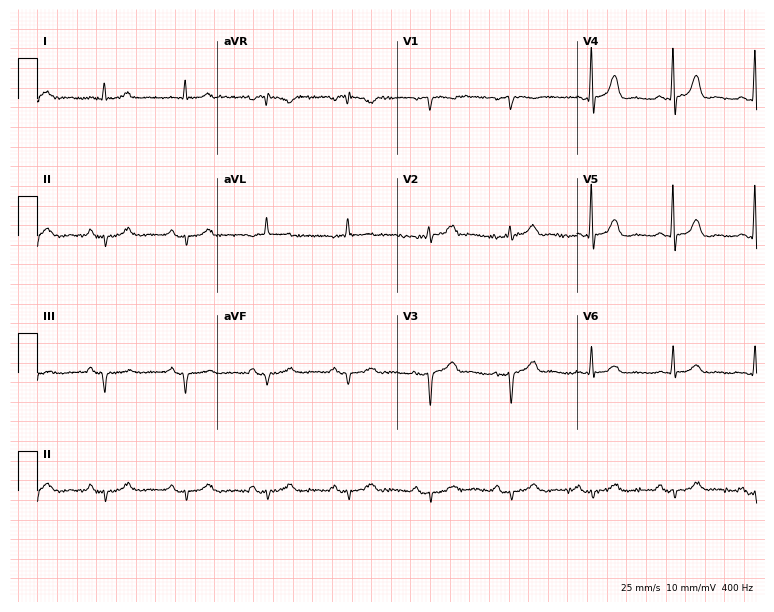
Standard 12-lead ECG recorded from a 67-year-old man. None of these six findings is recorded: first-degree AV block, right bundle branch block (RBBB), left bundle branch block (LBBB), sinus bradycardia, atrial fibrillation (AF), sinus tachycardia.